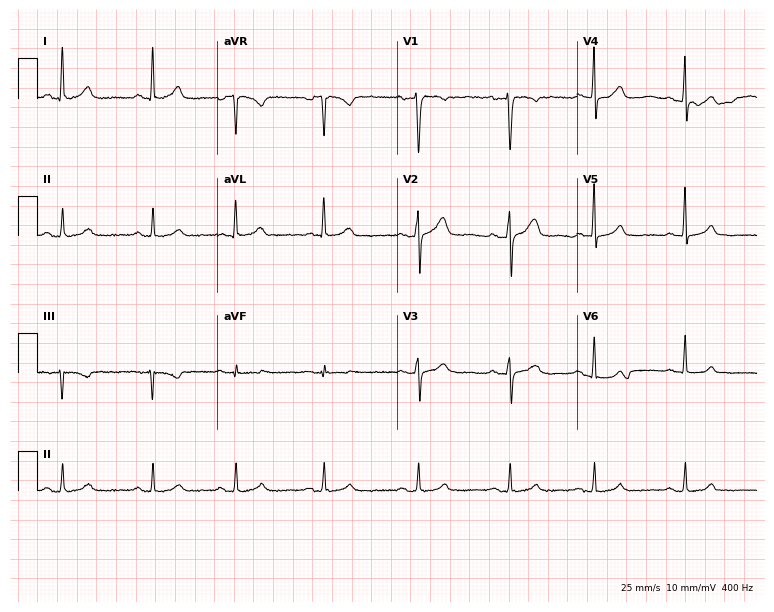
Electrocardiogram, a female, 42 years old. Overall reading on record: normal ECG.